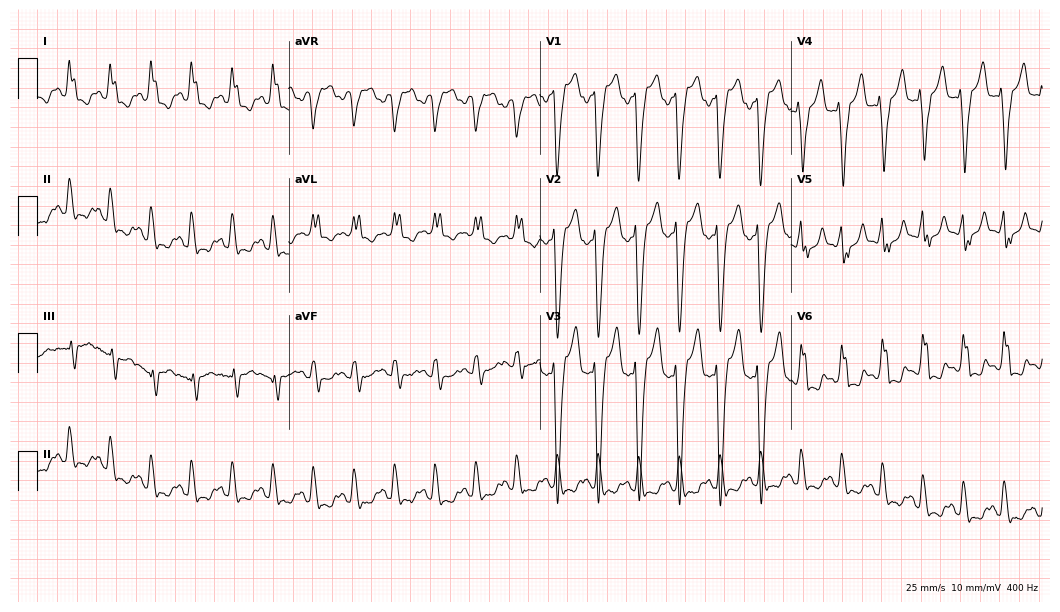
Standard 12-lead ECG recorded from a 59-year-old female. The tracing shows left bundle branch block, sinus tachycardia (a sinus rate of 100 beats per minute or more).